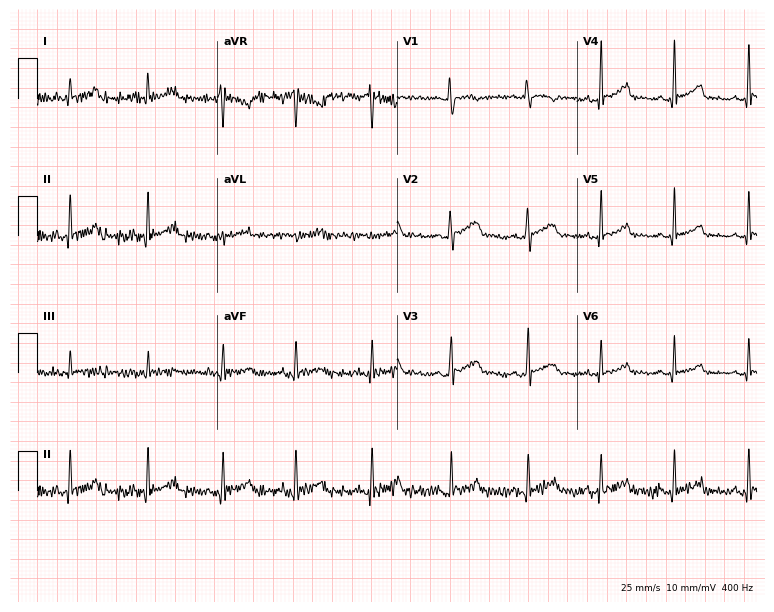
12-lead ECG (7.3-second recording at 400 Hz) from a 31-year-old female. Labelled as a normal ECG.